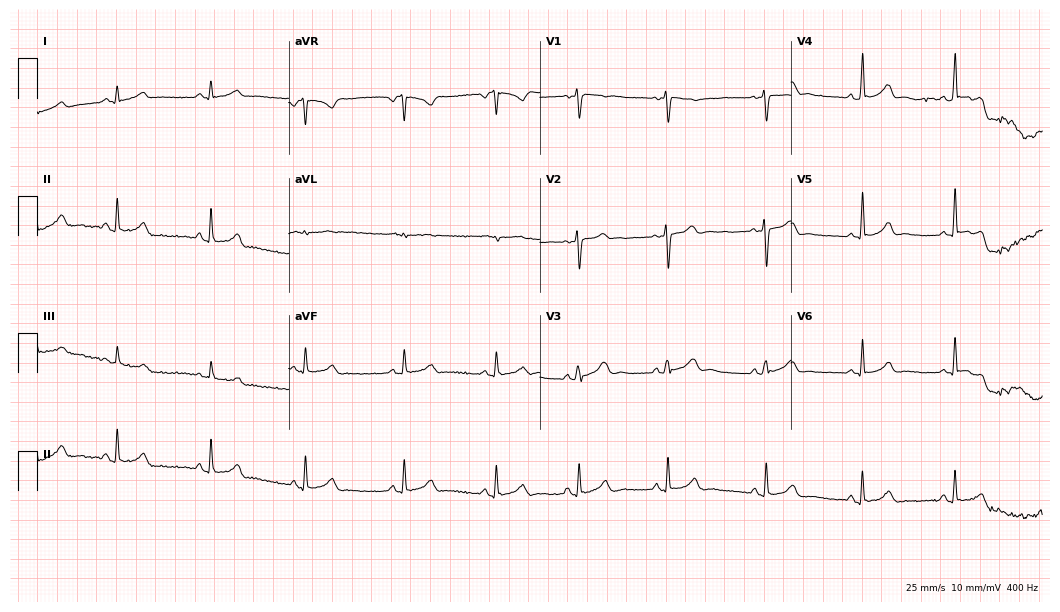
12-lead ECG from a female patient, 19 years old. Recorded interpretation: within normal limits.